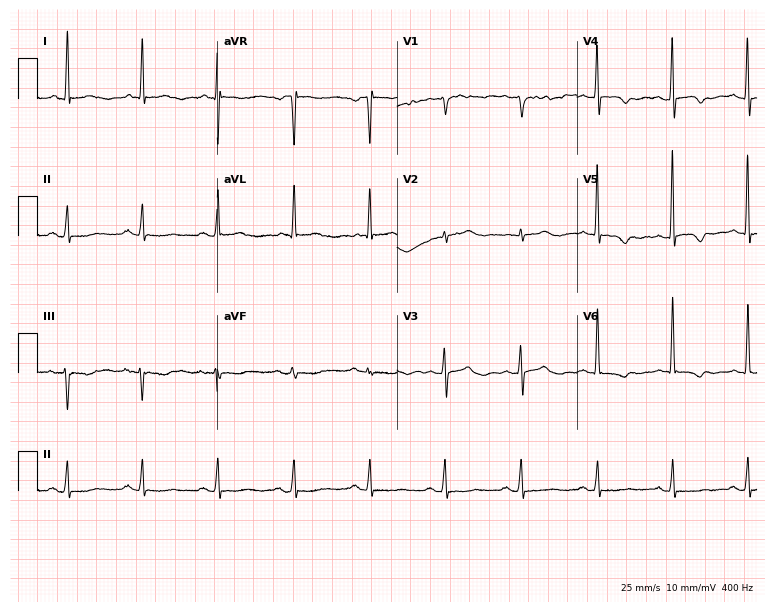
Resting 12-lead electrocardiogram (7.3-second recording at 400 Hz). Patient: a woman, 72 years old. Read as a normal ECG.